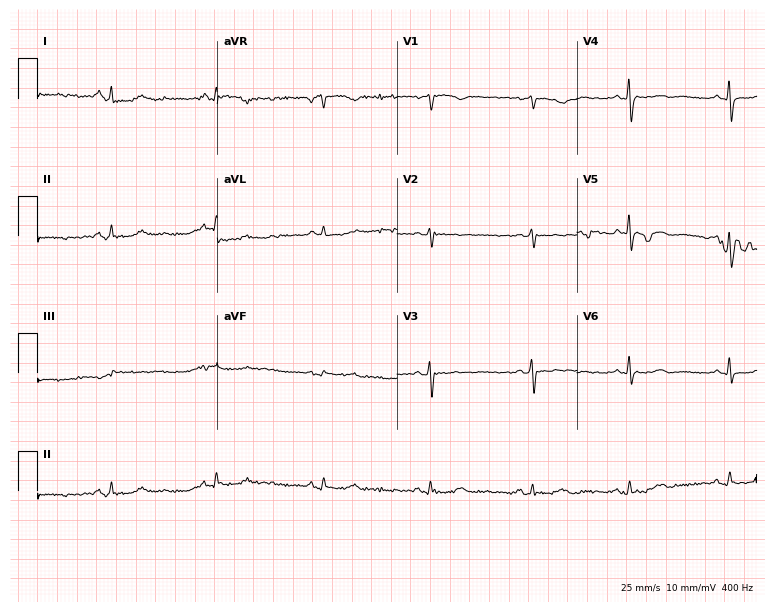
ECG (7.3-second recording at 400 Hz) — a 44-year-old woman. Screened for six findings — first-degree AV block, right bundle branch block, left bundle branch block, sinus bradycardia, atrial fibrillation, sinus tachycardia — none is recorded. Findings outside these six are not listed.